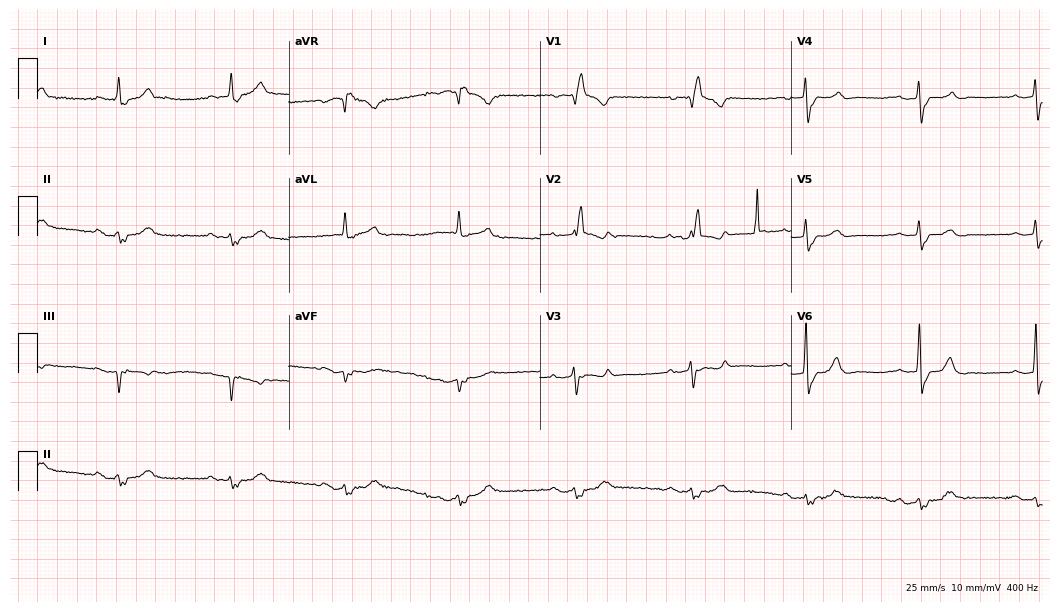
12-lead ECG from a 78-year-old male patient. No first-degree AV block, right bundle branch block (RBBB), left bundle branch block (LBBB), sinus bradycardia, atrial fibrillation (AF) or sinus tachycardia recorded for this tracing.